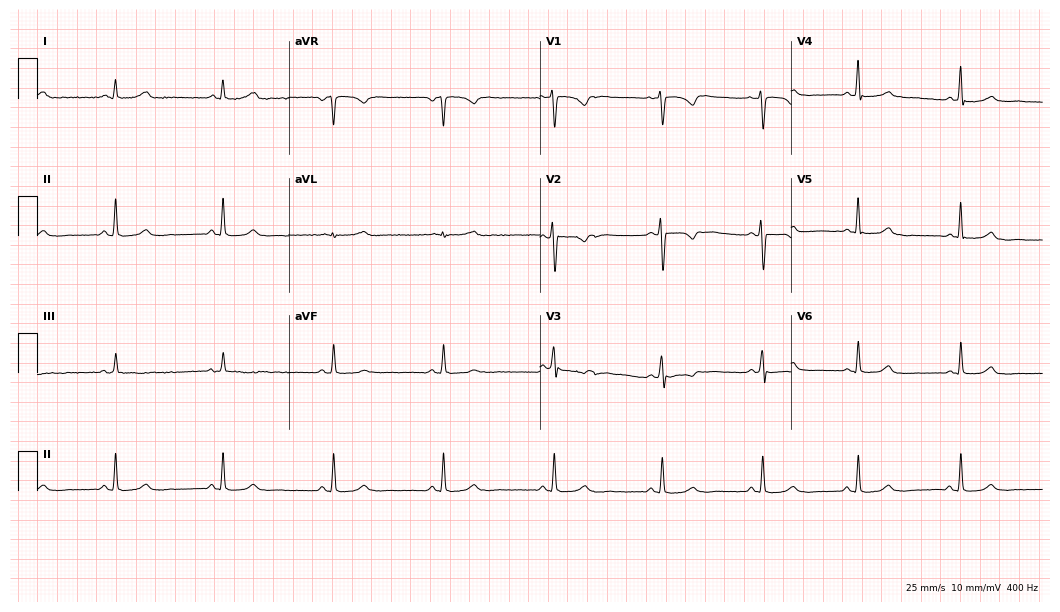
Standard 12-lead ECG recorded from a woman, 37 years old. None of these six findings is recorded: first-degree AV block, right bundle branch block, left bundle branch block, sinus bradycardia, atrial fibrillation, sinus tachycardia. Other findings, if any, are not listed.